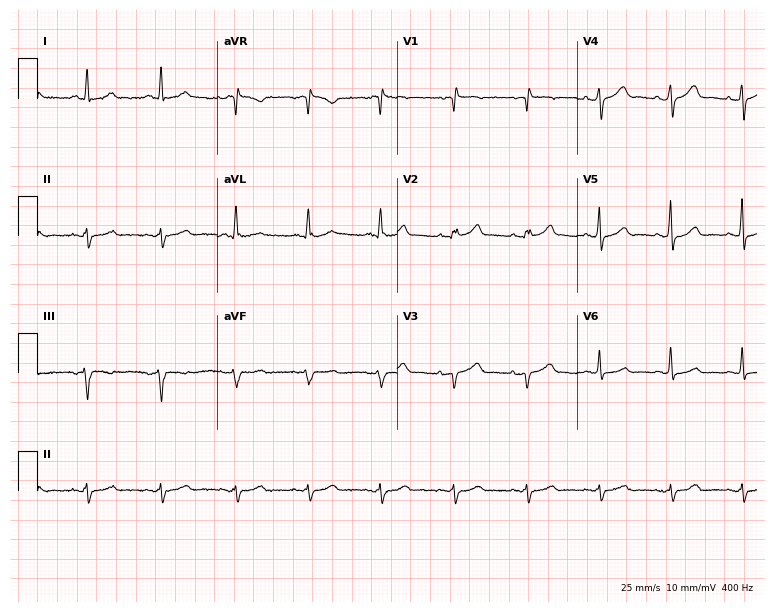
12-lead ECG from a 60-year-old female patient (7.3-second recording at 400 Hz). No first-degree AV block, right bundle branch block, left bundle branch block, sinus bradycardia, atrial fibrillation or sinus tachycardia recorded for this tracing.